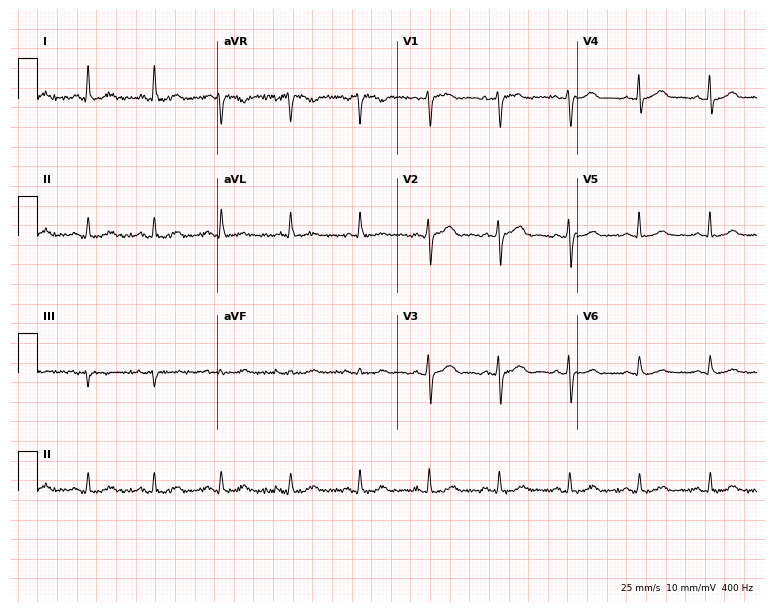
12-lead ECG from a woman, 58 years old (7.3-second recording at 400 Hz). Recorded interpretation: within normal limits.